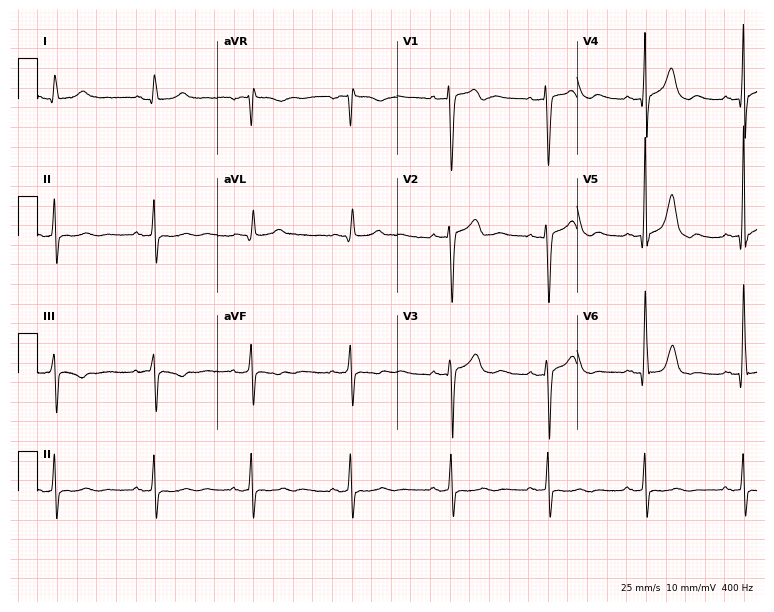
12-lead ECG from a male patient, 73 years old. No first-degree AV block, right bundle branch block, left bundle branch block, sinus bradycardia, atrial fibrillation or sinus tachycardia recorded for this tracing. Findings outside these six are not listed.